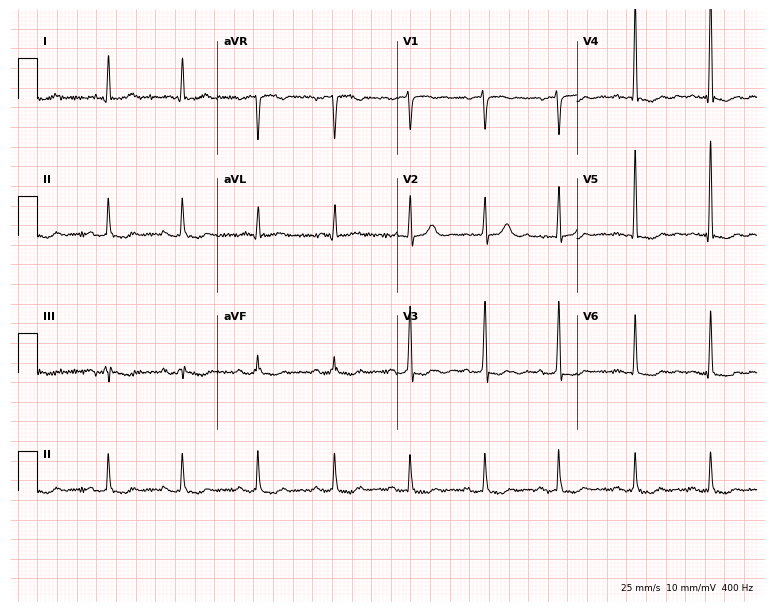
12-lead ECG from a woman, 80 years old (7.3-second recording at 400 Hz). Recorded interpretation: within normal limits.